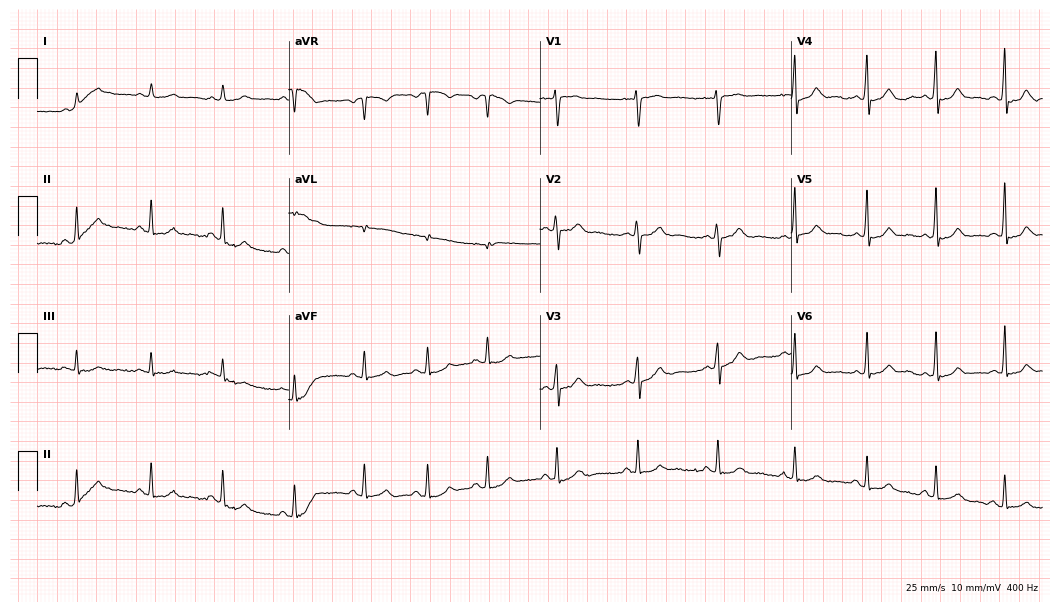
ECG (10.2-second recording at 400 Hz) — a female patient, 21 years old. Labelled as a normal ECG.